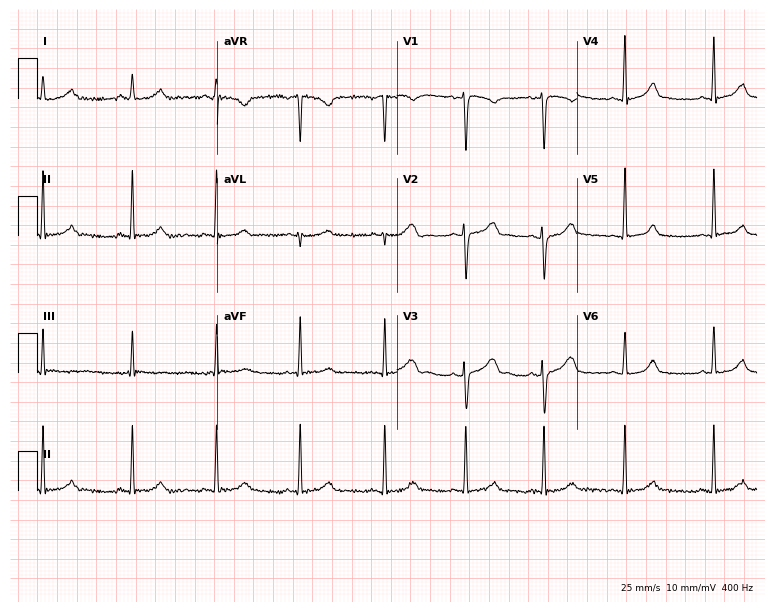
12-lead ECG from a woman, 27 years old. Recorded interpretation: within normal limits.